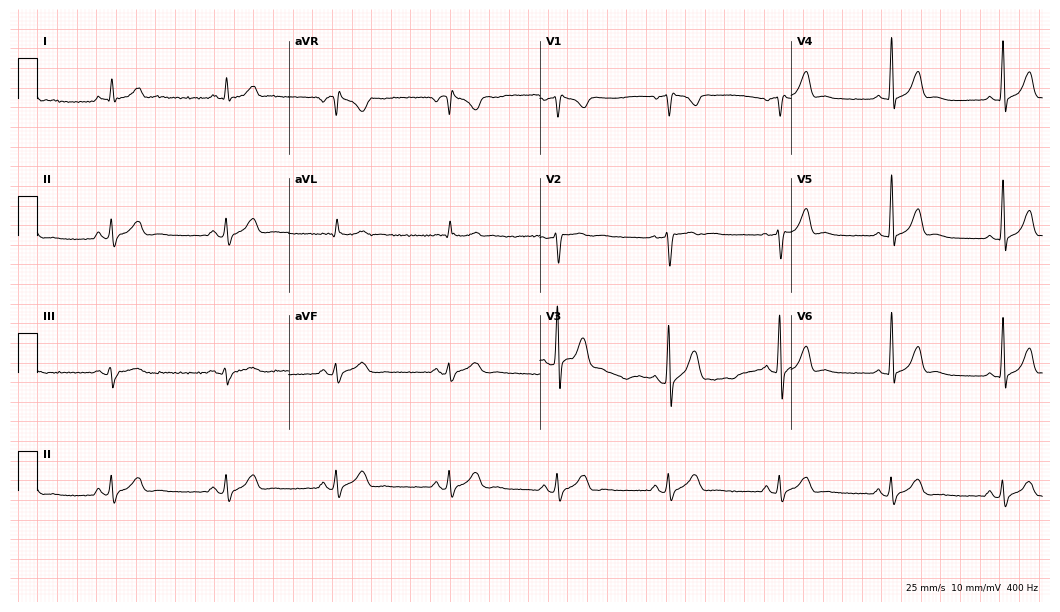
12-lead ECG (10.2-second recording at 400 Hz) from a 48-year-old male. Screened for six findings — first-degree AV block, right bundle branch block (RBBB), left bundle branch block (LBBB), sinus bradycardia, atrial fibrillation (AF), sinus tachycardia — none is recorded.